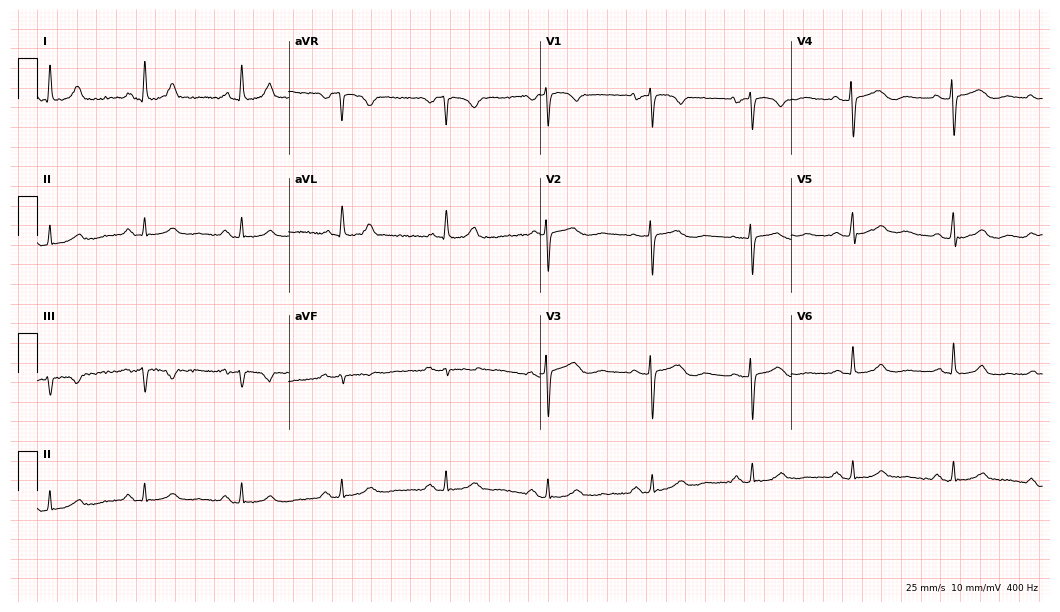
Electrocardiogram (10.2-second recording at 400 Hz), a female, 76 years old. Of the six screened findings (first-degree AV block, right bundle branch block, left bundle branch block, sinus bradycardia, atrial fibrillation, sinus tachycardia), none is recorded.